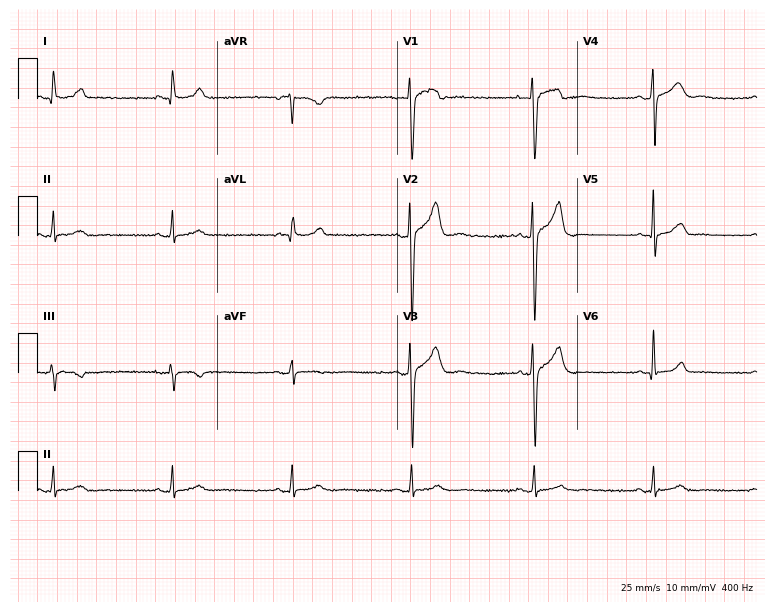
12-lead ECG from a 32-year-old male patient (7.3-second recording at 400 Hz). Shows sinus bradycardia (a sinus rate of 50 beats per minute or less).